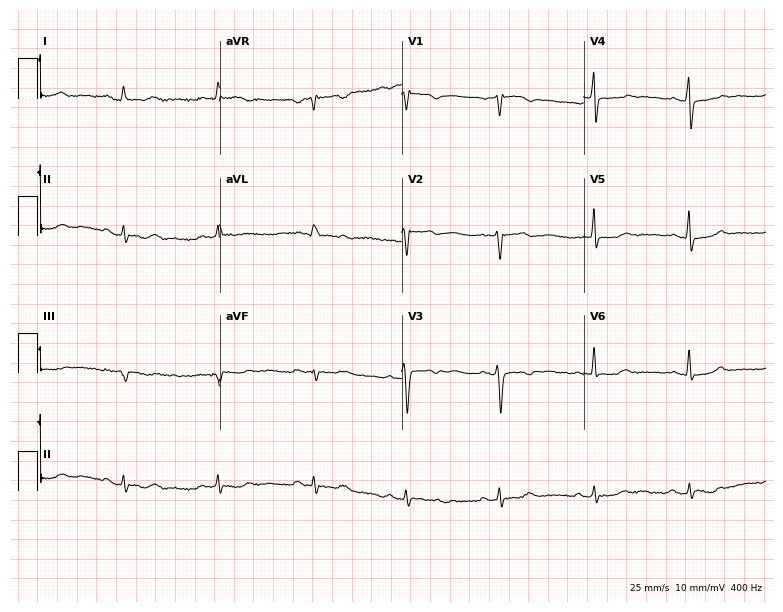
12-lead ECG (7.4-second recording at 400 Hz) from a female patient, 56 years old. Screened for six findings — first-degree AV block, right bundle branch block, left bundle branch block, sinus bradycardia, atrial fibrillation, sinus tachycardia — none is recorded.